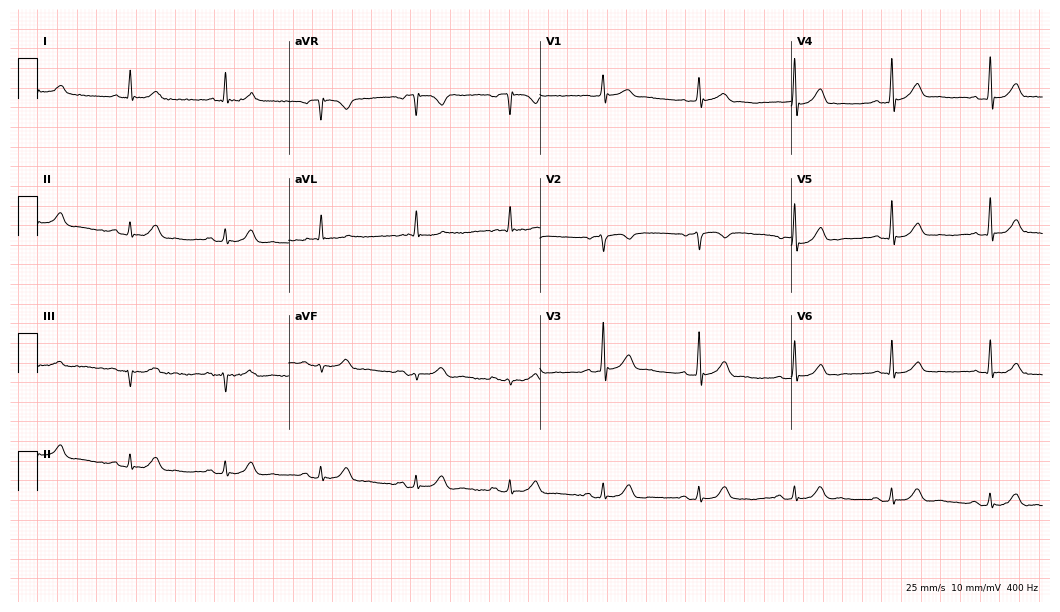
Electrocardiogram, a 78-year-old male patient. Overall reading on record: normal ECG.